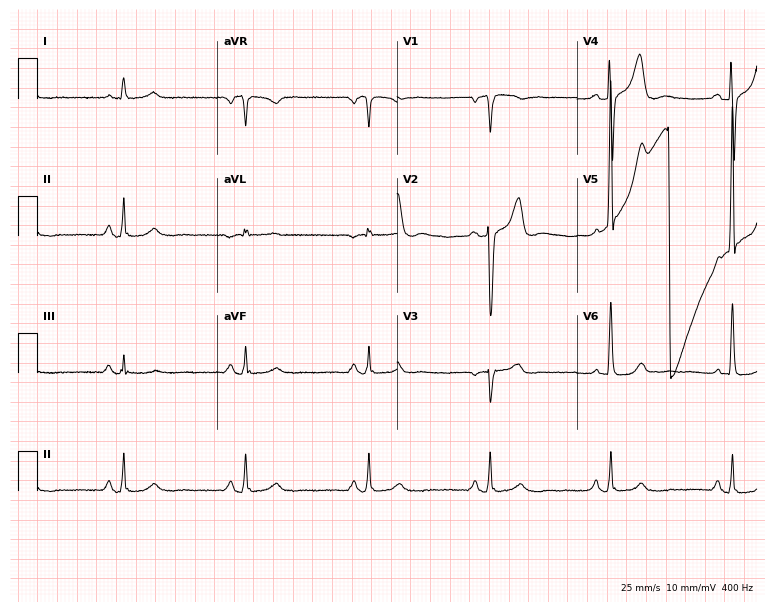
12-lead ECG (7.3-second recording at 400 Hz) from a male patient, 67 years old. Labelled as a normal ECG.